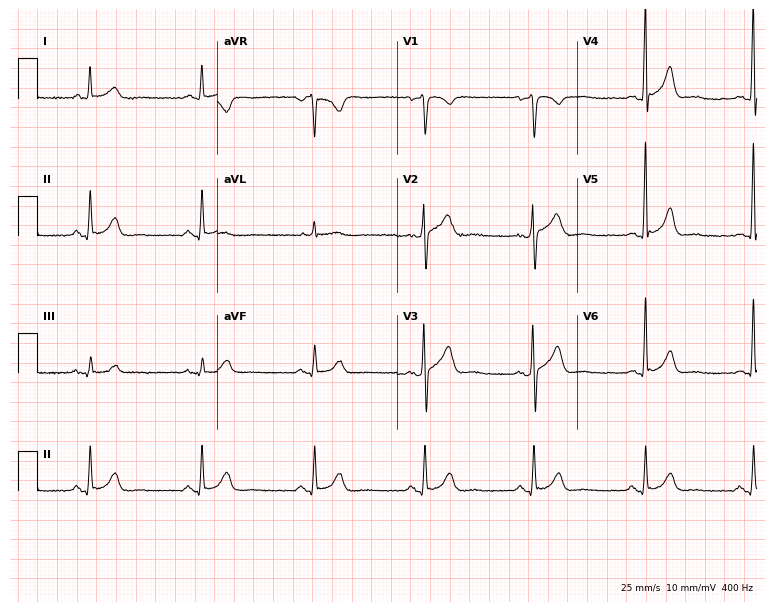
12-lead ECG from a 64-year-old man. Screened for six findings — first-degree AV block, right bundle branch block, left bundle branch block, sinus bradycardia, atrial fibrillation, sinus tachycardia — none is recorded. Findings outside these six are not listed.